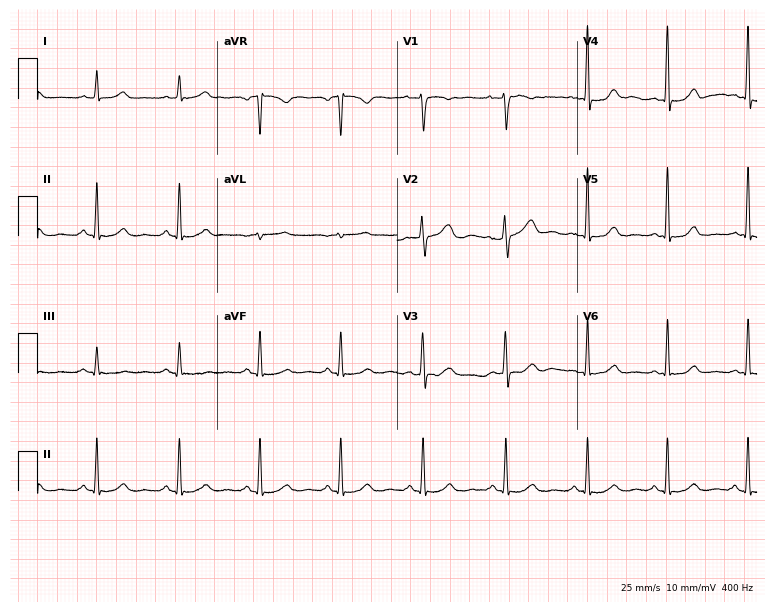
Resting 12-lead electrocardiogram (7.3-second recording at 400 Hz). Patient: a 49-year-old woman. None of these six findings is recorded: first-degree AV block, right bundle branch block, left bundle branch block, sinus bradycardia, atrial fibrillation, sinus tachycardia.